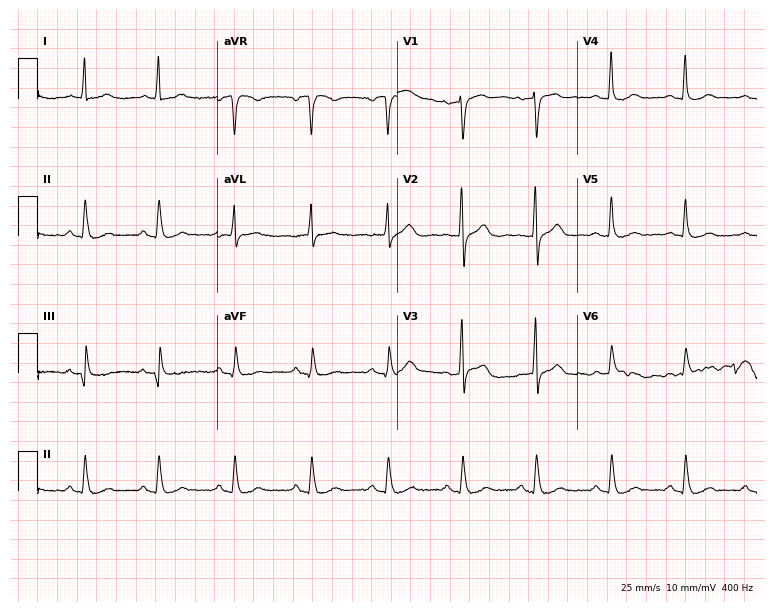
Electrocardiogram (7.3-second recording at 400 Hz), a female, 61 years old. Of the six screened findings (first-degree AV block, right bundle branch block (RBBB), left bundle branch block (LBBB), sinus bradycardia, atrial fibrillation (AF), sinus tachycardia), none is recorded. Only these six findings were labelled.